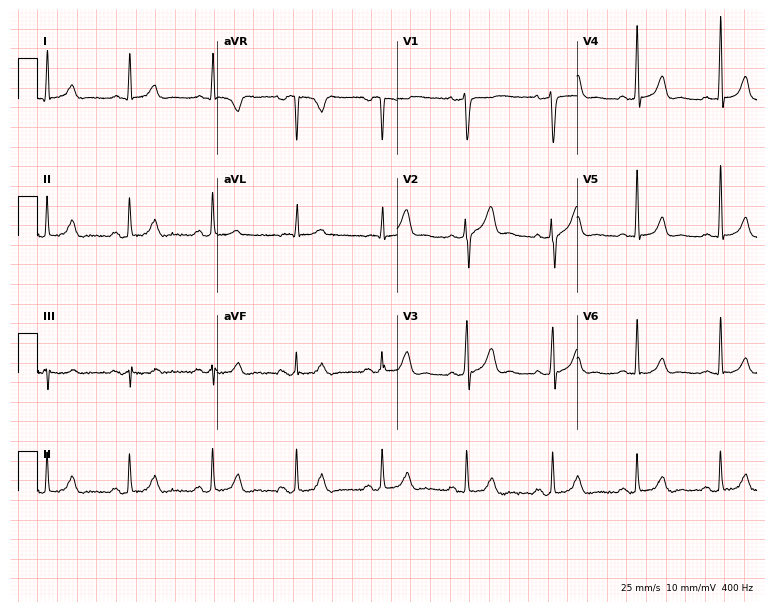
Electrocardiogram, a 61-year-old male patient. Overall reading on record: normal ECG.